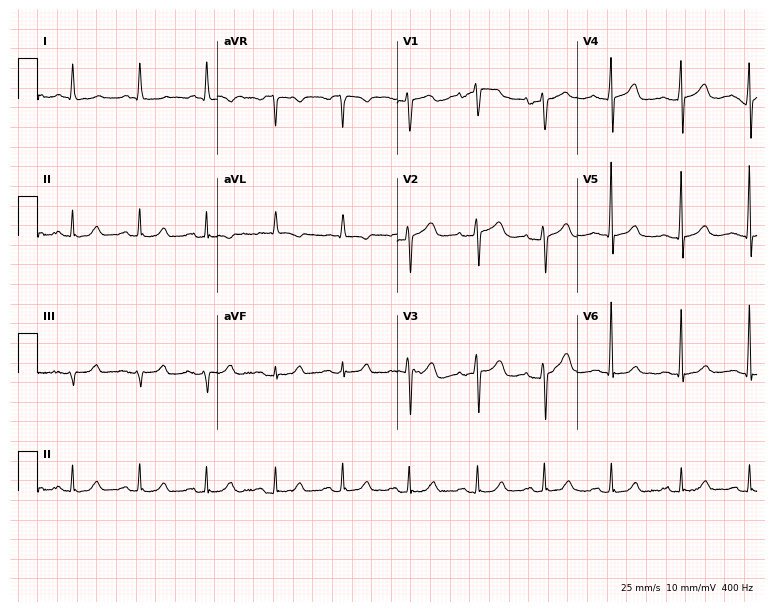
Resting 12-lead electrocardiogram. Patient: a woman, 84 years old. None of these six findings is recorded: first-degree AV block, right bundle branch block (RBBB), left bundle branch block (LBBB), sinus bradycardia, atrial fibrillation (AF), sinus tachycardia.